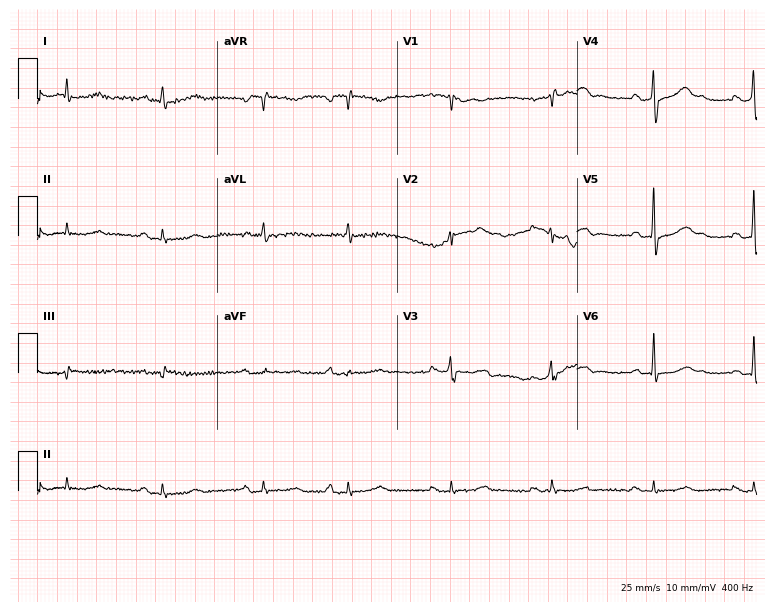
12-lead ECG from an 80-year-old man. Recorded interpretation: within normal limits.